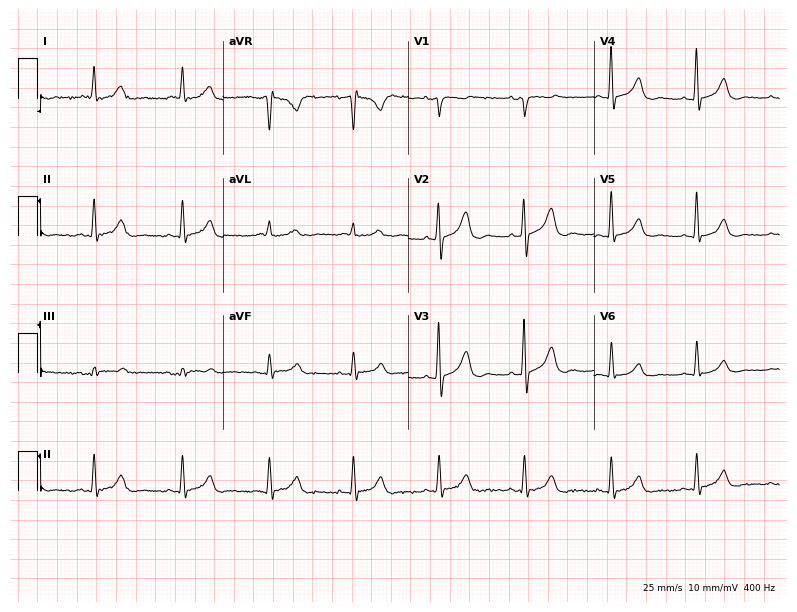
Standard 12-lead ECG recorded from a female patient, 59 years old (7.6-second recording at 400 Hz). Read as a normal ECG.